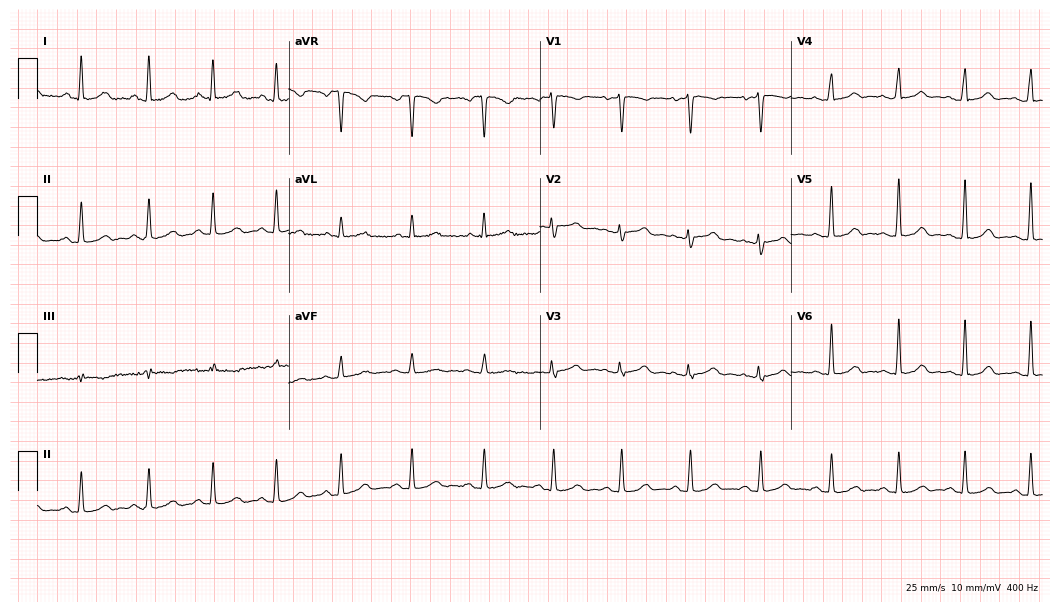
12-lead ECG from a female patient, 44 years old. No first-degree AV block, right bundle branch block, left bundle branch block, sinus bradycardia, atrial fibrillation or sinus tachycardia recorded for this tracing. Other findings, if any, are not listed.